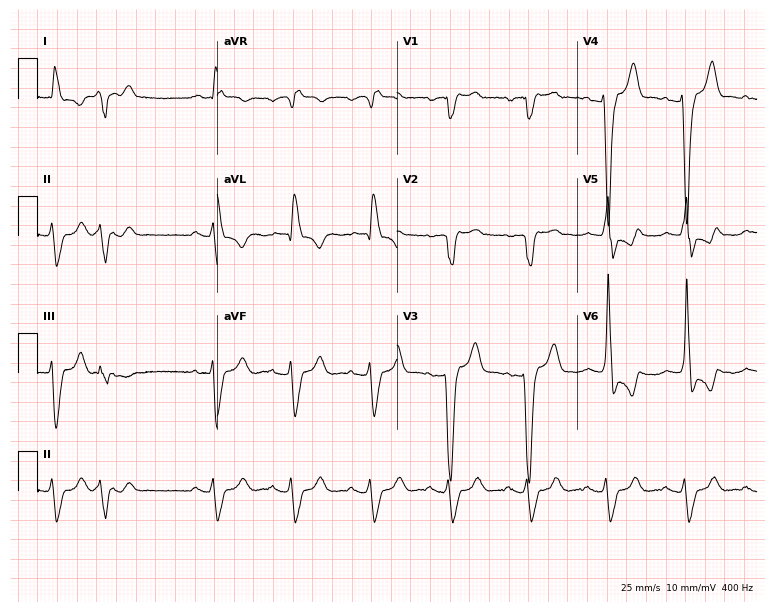
12-lead ECG from a 65-year-old male. No first-degree AV block, right bundle branch block (RBBB), left bundle branch block (LBBB), sinus bradycardia, atrial fibrillation (AF) or sinus tachycardia recorded for this tracing.